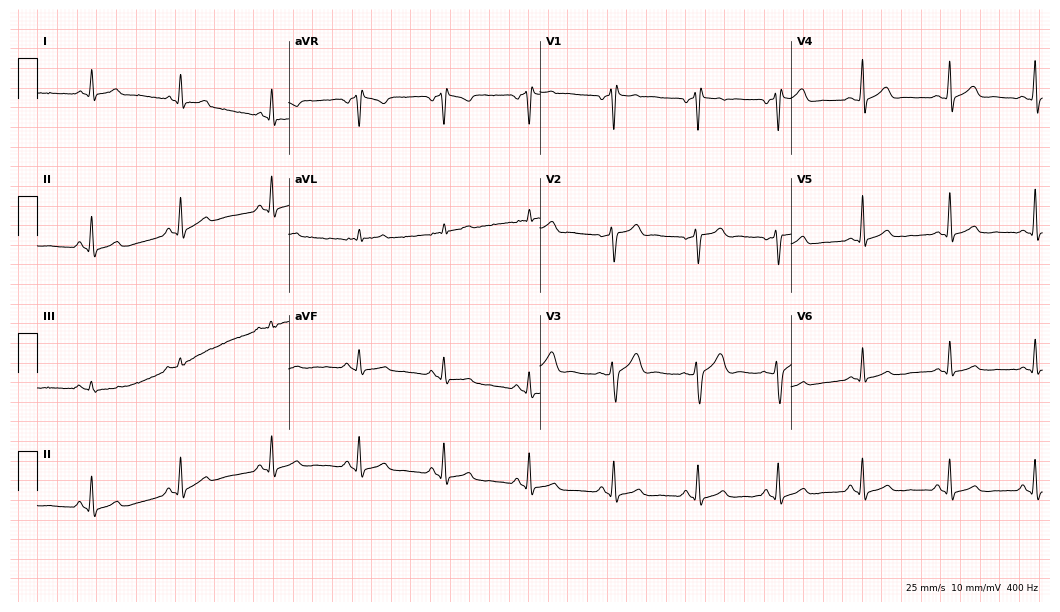
12-lead ECG from a 45-year-old man (10.2-second recording at 400 Hz). No first-degree AV block, right bundle branch block, left bundle branch block, sinus bradycardia, atrial fibrillation or sinus tachycardia recorded for this tracing. Findings outside these six are not listed.